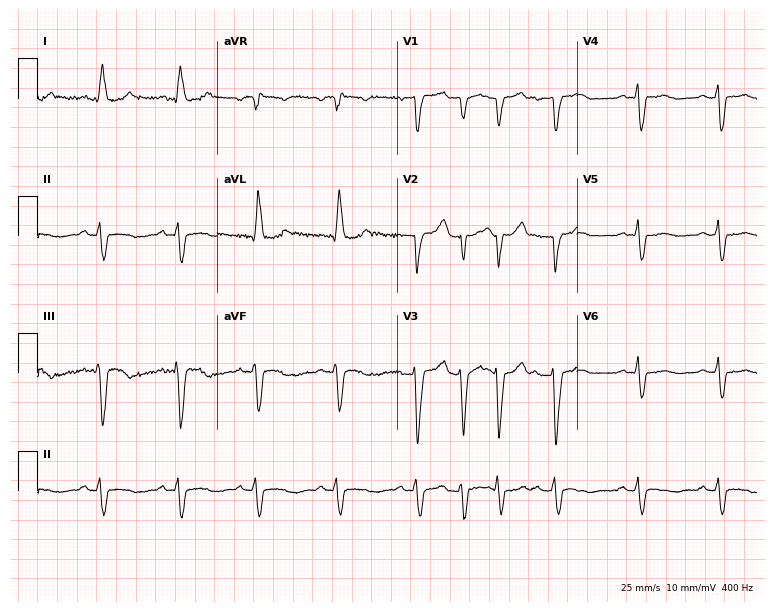
12-lead ECG from an 84-year-old female. Shows left bundle branch block.